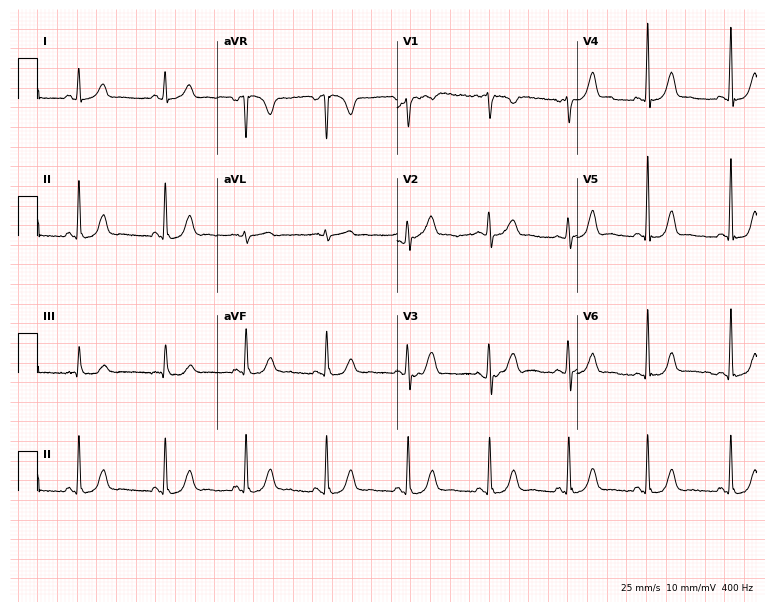
Electrocardiogram, a 32-year-old female. Overall reading on record: normal ECG.